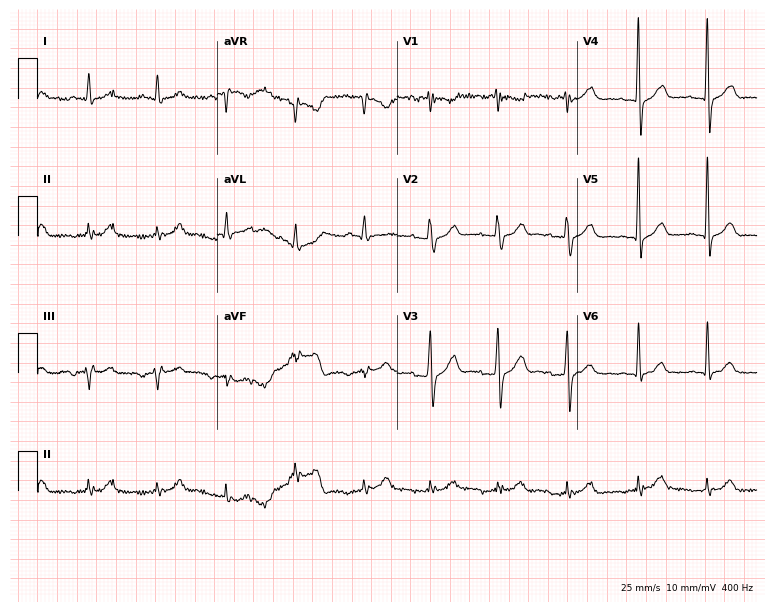
ECG — a man, 55 years old. Screened for six findings — first-degree AV block, right bundle branch block (RBBB), left bundle branch block (LBBB), sinus bradycardia, atrial fibrillation (AF), sinus tachycardia — none is recorded.